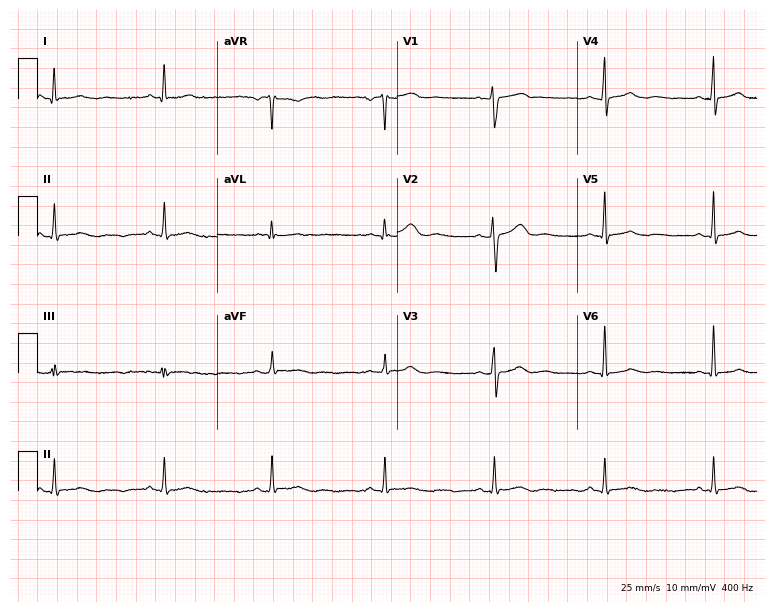
ECG (7.3-second recording at 400 Hz) — a 48-year-old male. Labelled as a normal ECG.